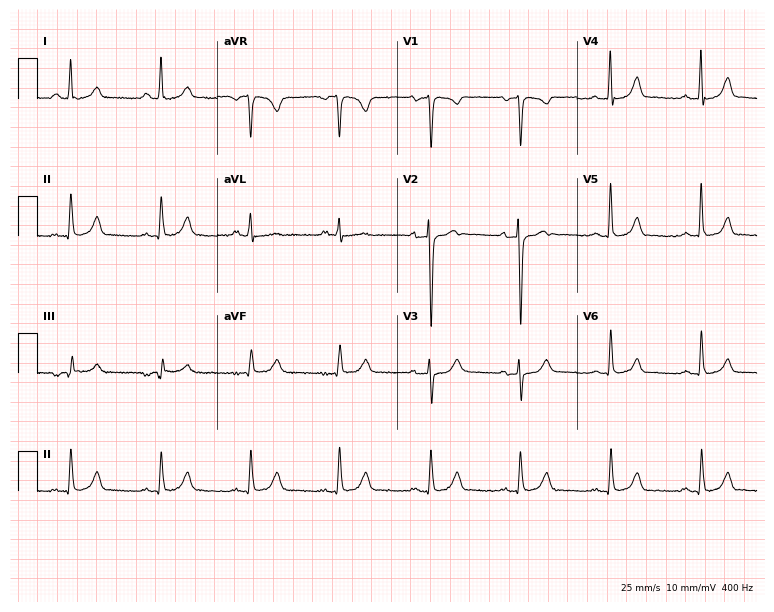
Resting 12-lead electrocardiogram (7.3-second recording at 400 Hz). Patient: a 76-year-old male. Read as a normal ECG.